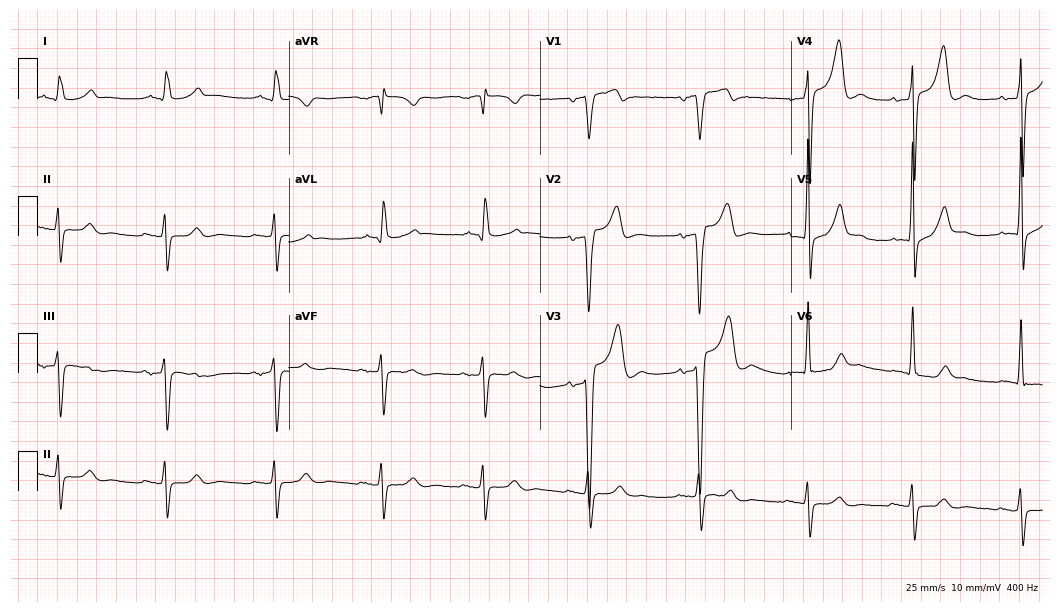
ECG (10.2-second recording at 400 Hz) — a 43-year-old man. Screened for six findings — first-degree AV block, right bundle branch block (RBBB), left bundle branch block (LBBB), sinus bradycardia, atrial fibrillation (AF), sinus tachycardia — none is recorded.